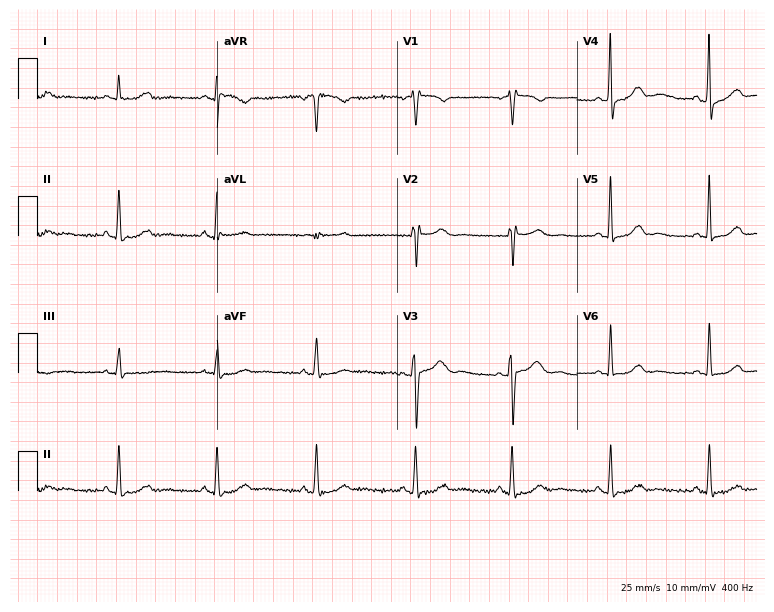
12-lead ECG from a 55-year-old woman (7.3-second recording at 400 Hz). No first-degree AV block, right bundle branch block (RBBB), left bundle branch block (LBBB), sinus bradycardia, atrial fibrillation (AF) or sinus tachycardia recorded for this tracing. Only these six findings were labelled.